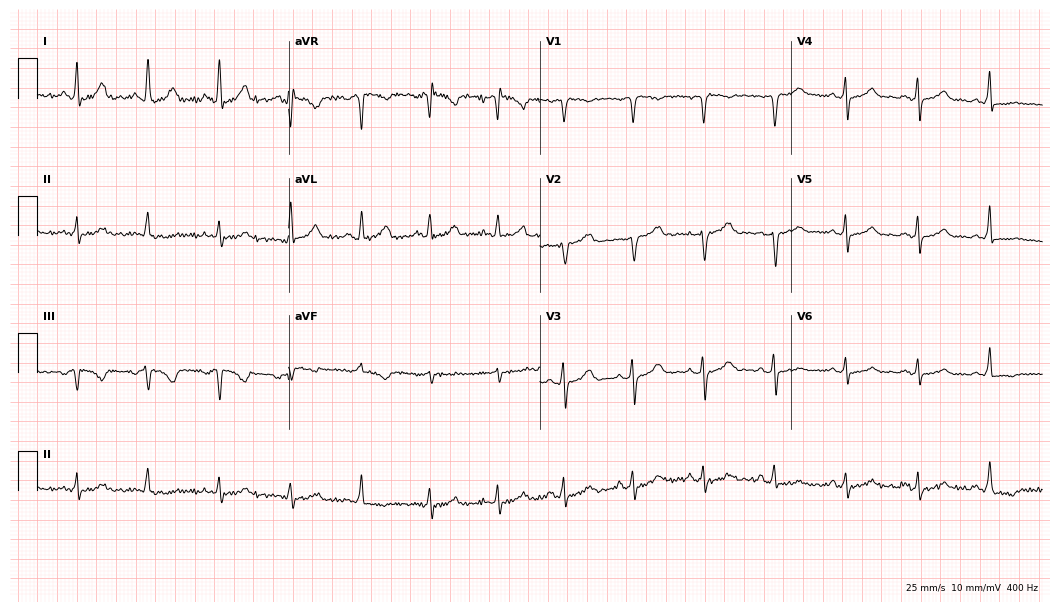
Resting 12-lead electrocardiogram (10.2-second recording at 400 Hz). Patient: a female, 41 years old. None of these six findings is recorded: first-degree AV block, right bundle branch block, left bundle branch block, sinus bradycardia, atrial fibrillation, sinus tachycardia. Only these six findings were labelled.